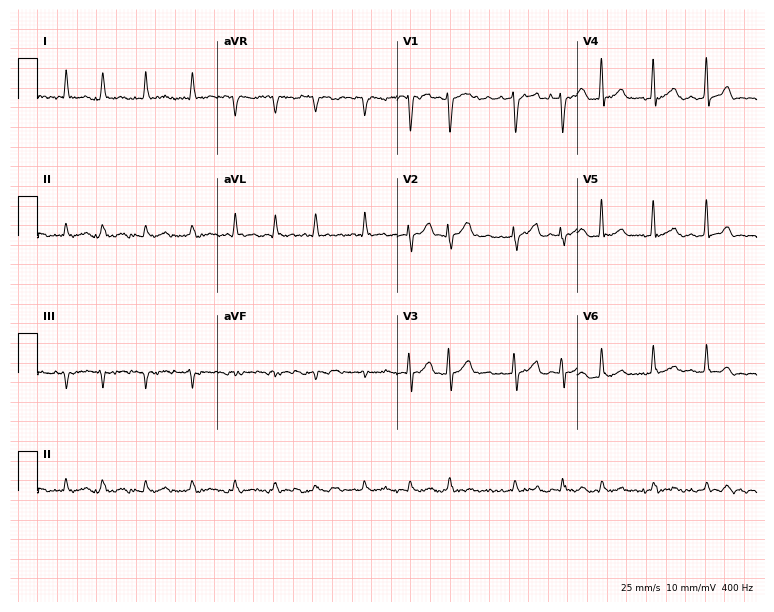
12-lead ECG (7.3-second recording at 400 Hz) from an 85-year-old female. Findings include atrial fibrillation (AF).